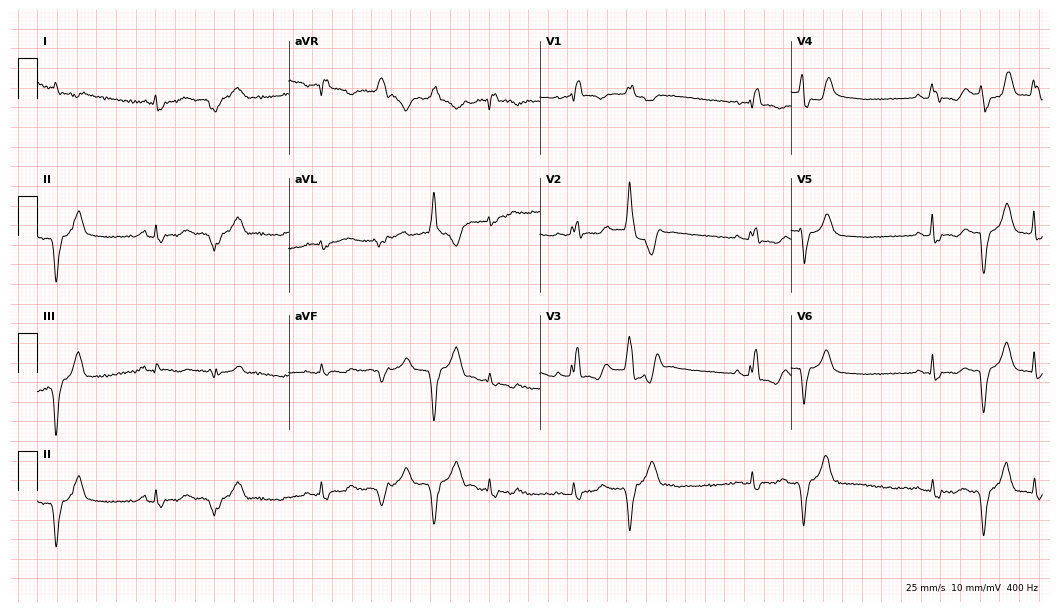
ECG — a 54-year-old female patient. Findings include right bundle branch block.